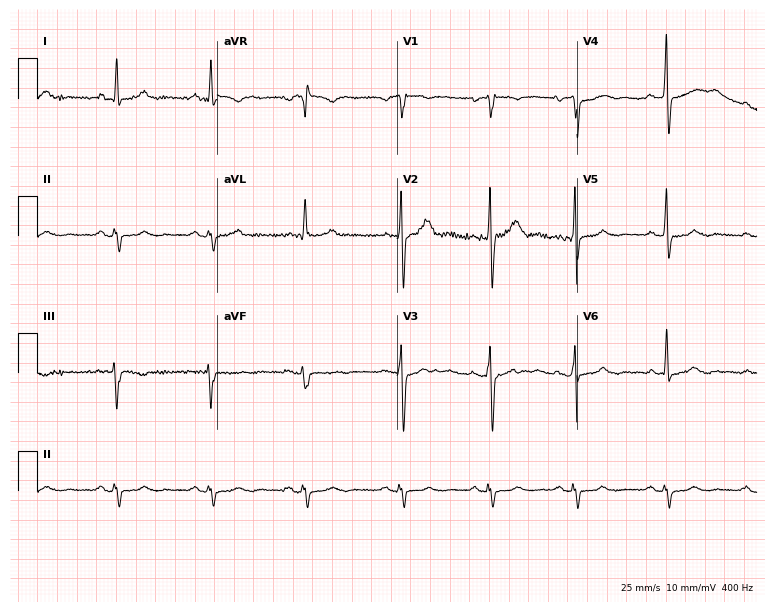
Standard 12-lead ECG recorded from a 52-year-old male patient. None of these six findings is recorded: first-degree AV block, right bundle branch block, left bundle branch block, sinus bradycardia, atrial fibrillation, sinus tachycardia.